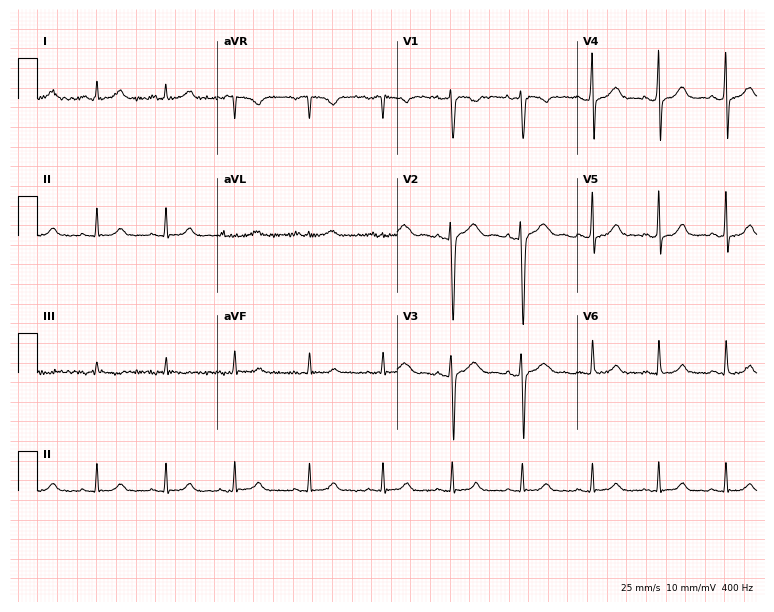
ECG (7.3-second recording at 400 Hz) — a 31-year-old woman. Screened for six findings — first-degree AV block, right bundle branch block, left bundle branch block, sinus bradycardia, atrial fibrillation, sinus tachycardia — none is recorded.